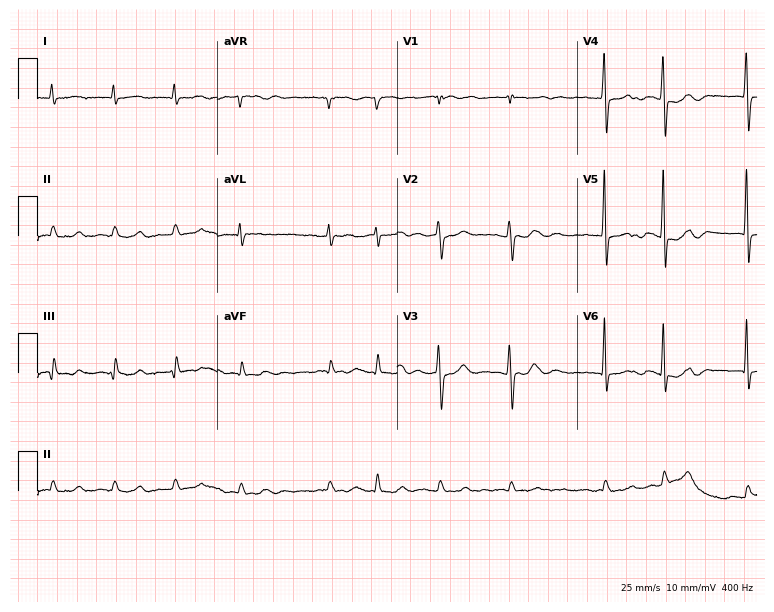
12-lead ECG from an 80-year-old male patient. Findings include atrial fibrillation.